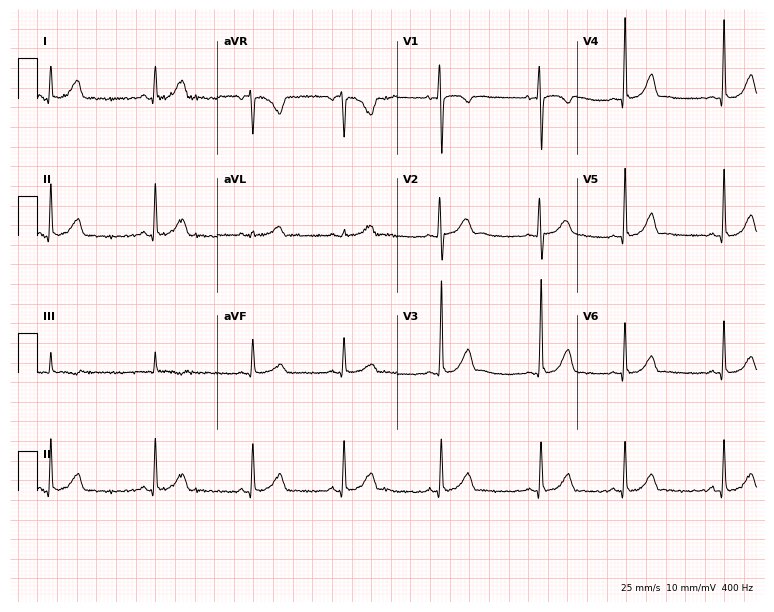
Standard 12-lead ECG recorded from a 40-year-old female. None of these six findings is recorded: first-degree AV block, right bundle branch block (RBBB), left bundle branch block (LBBB), sinus bradycardia, atrial fibrillation (AF), sinus tachycardia.